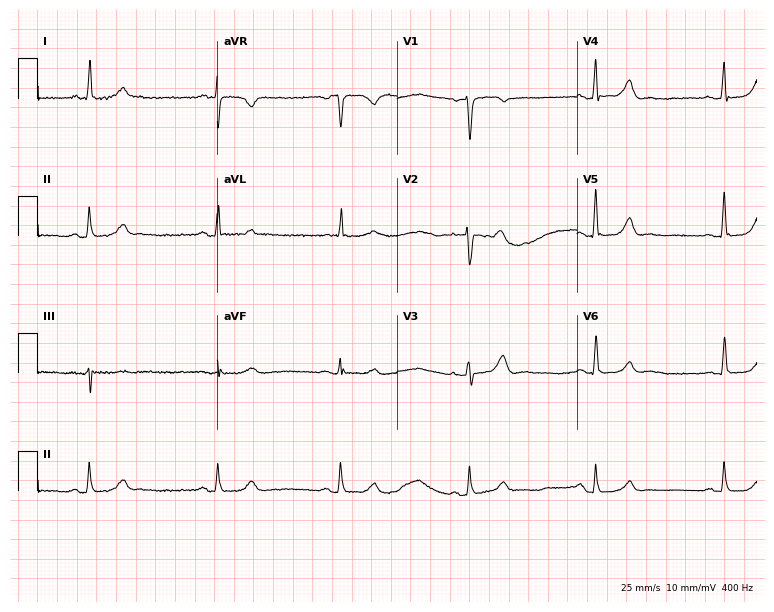
Standard 12-lead ECG recorded from a 61-year-old female (7.3-second recording at 400 Hz). None of these six findings is recorded: first-degree AV block, right bundle branch block, left bundle branch block, sinus bradycardia, atrial fibrillation, sinus tachycardia. Other findings, if any, are not listed.